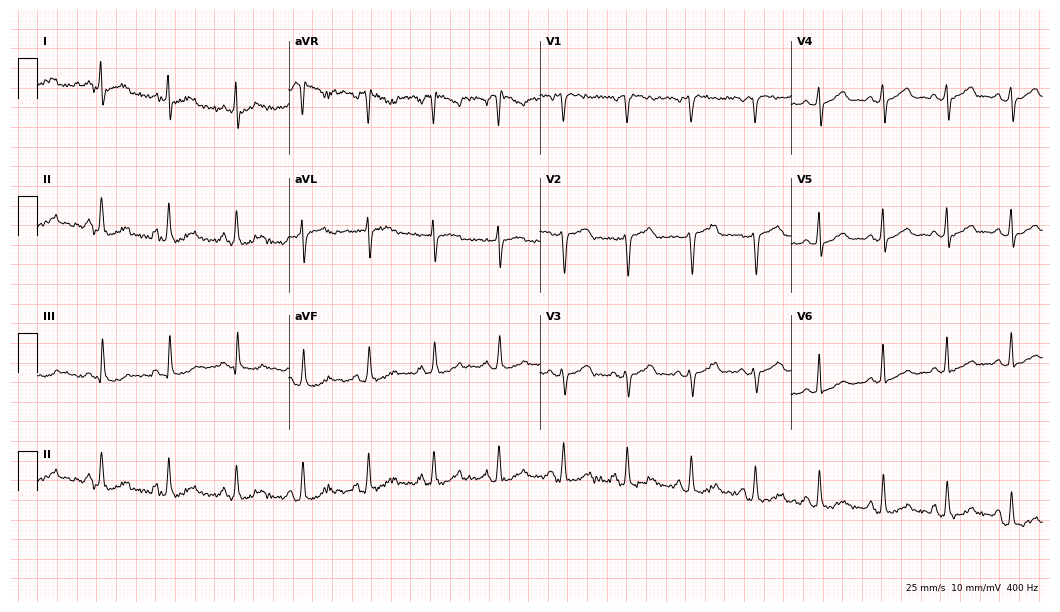
12-lead ECG from a female, 61 years old. Screened for six findings — first-degree AV block, right bundle branch block (RBBB), left bundle branch block (LBBB), sinus bradycardia, atrial fibrillation (AF), sinus tachycardia — none is recorded. Findings outside these six are not listed.